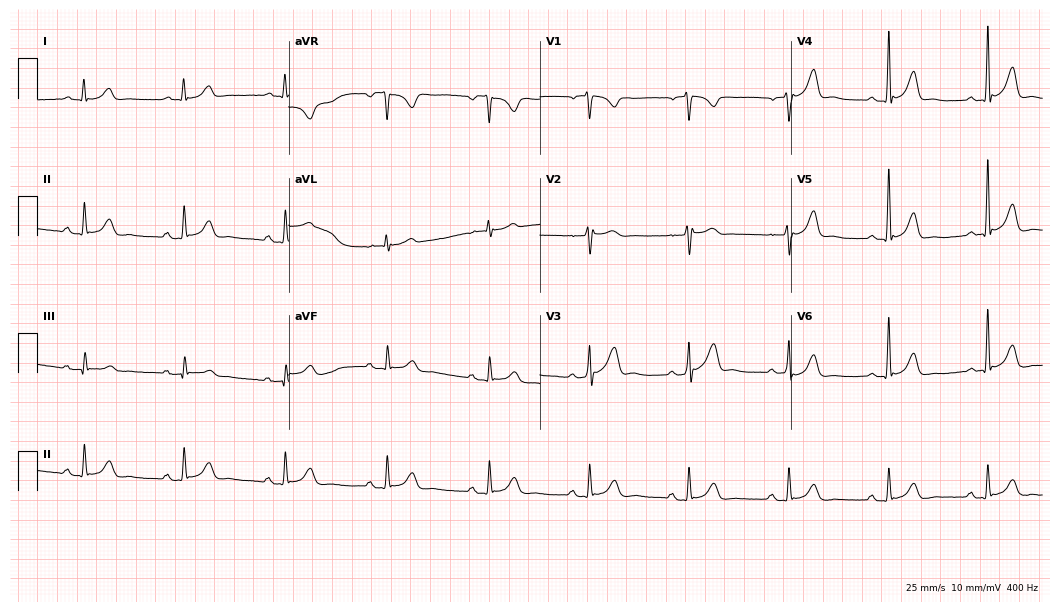
Resting 12-lead electrocardiogram. Patient: a 64-year-old male. Read as a normal ECG.